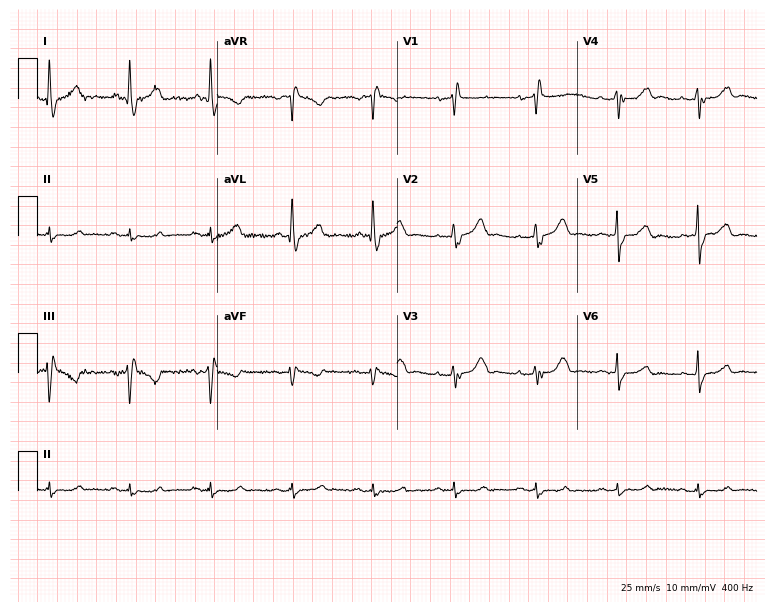
Resting 12-lead electrocardiogram. Patient: a 75-year-old woman. The tracing shows right bundle branch block.